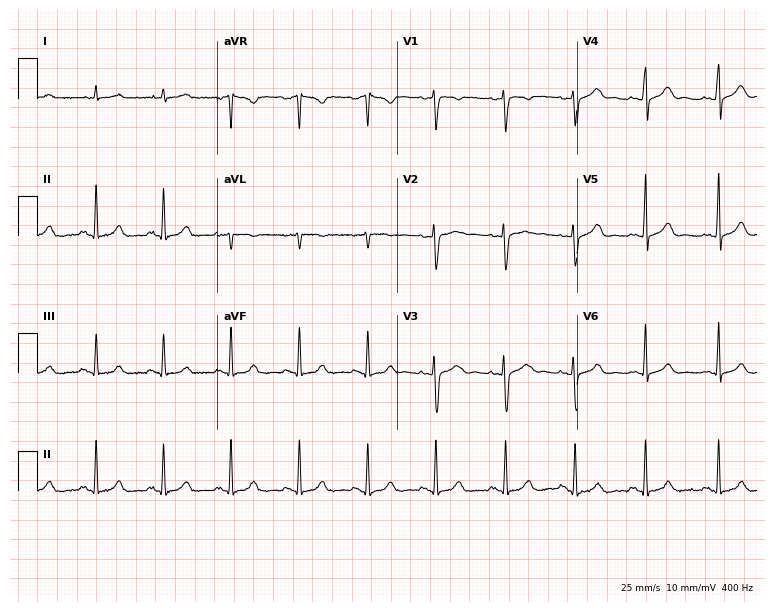
Resting 12-lead electrocardiogram (7.3-second recording at 400 Hz). Patient: a 44-year-old female. Read as a normal ECG.